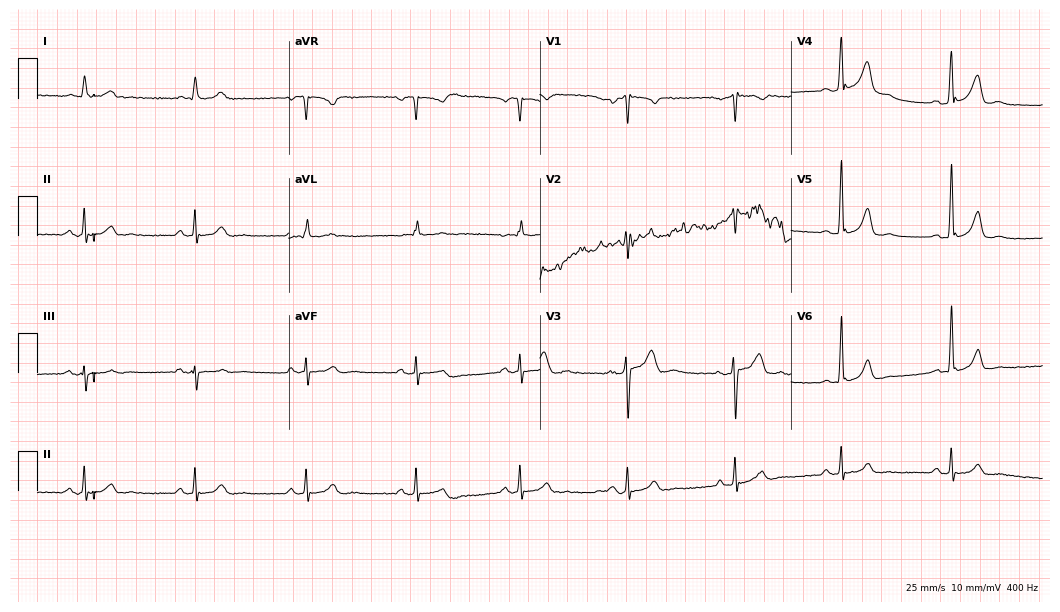
12-lead ECG from a male, 48 years old. No first-degree AV block, right bundle branch block, left bundle branch block, sinus bradycardia, atrial fibrillation or sinus tachycardia recorded for this tracing. Other findings, if any, are not listed.